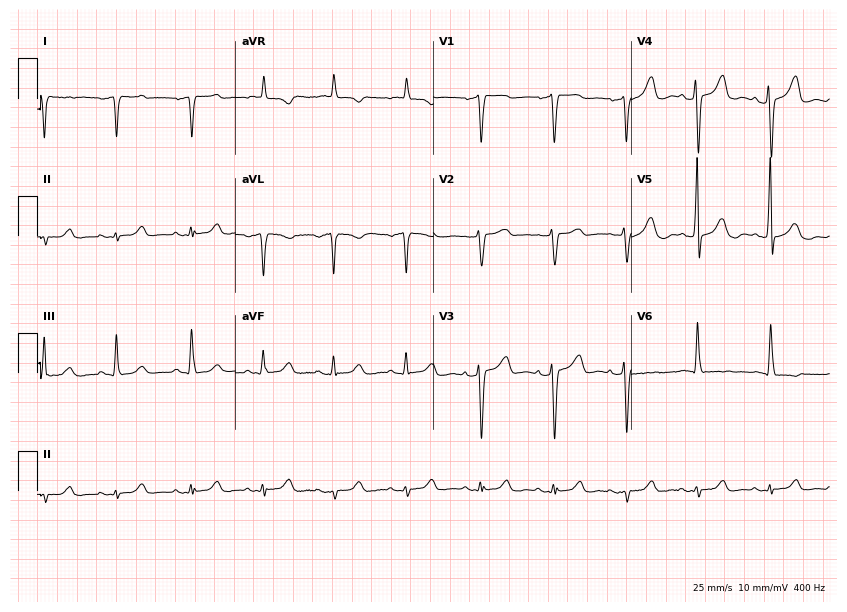
Standard 12-lead ECG recorded from a woman, 58 years old (8.1-second recording at 400 Hz). None of these six findings is recorded: first-degree AV block, right bundle branch block (RBBB), left bundle branch block (LBBB), sinus bradycardia, atrial fibrillation (AF), sinus tachycardia. Other findings, if any, are not listed.